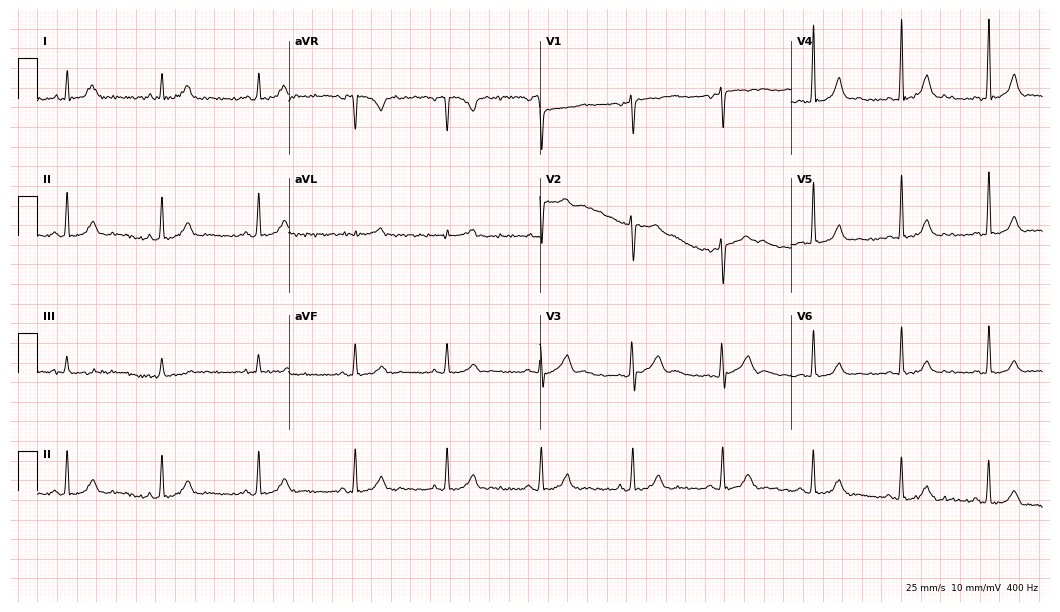
ECG (10.2-second recording at 400 Hz) — a 30-year-old female patient. Labelled as a normal ECG.